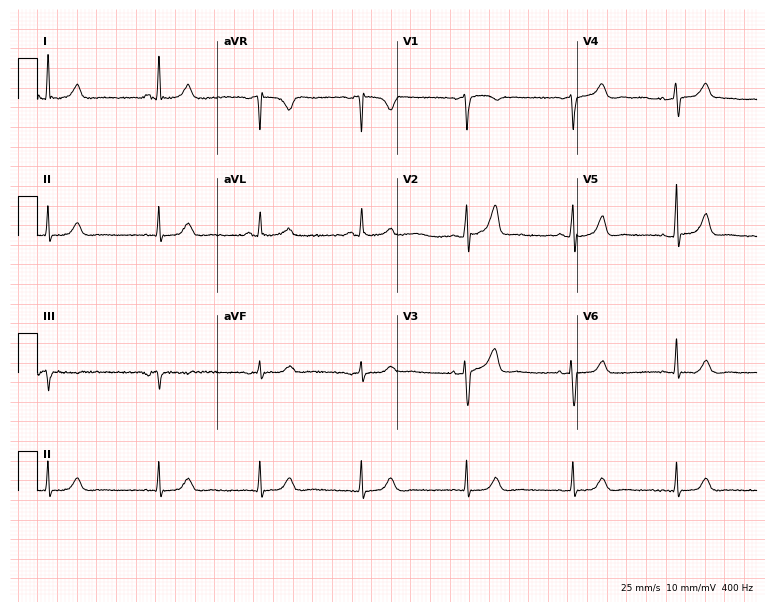
12-lead ECG from a 56-year-old woman. Labelled as a normal ECG.